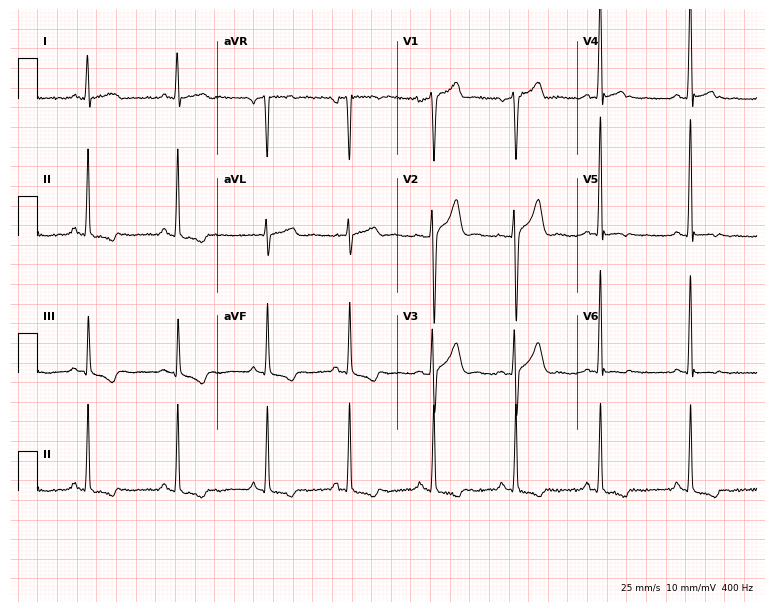
12-lead ECG (7.3-second recording at 400 Hz) from a male, 29 years old. Screened for six findings — first-degree AV block, right bundle branch block, left bundle branch block, sinus bradycardia, atrial fibrillation, sinus tachycardia — none is recorded.